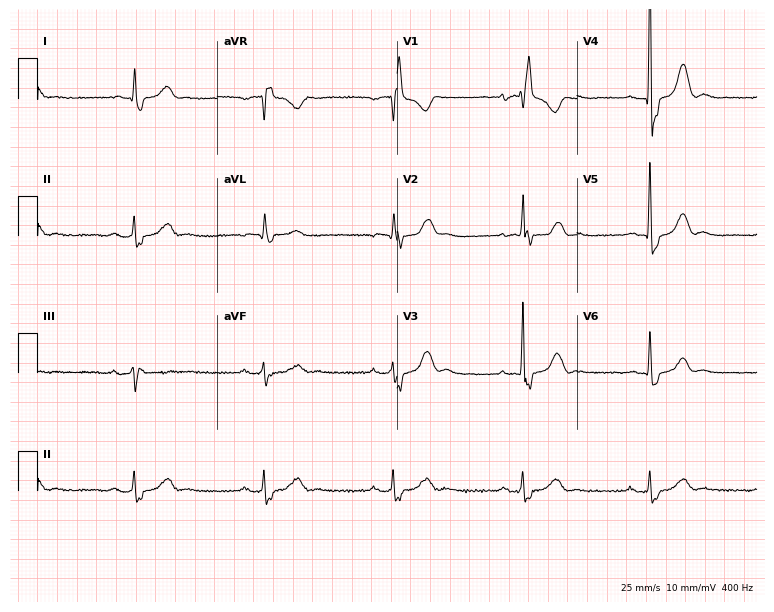
12-lead ECG (7.3-second recording at 400 Hz) from an 85-year-old male. Findings include right bundle branch block.